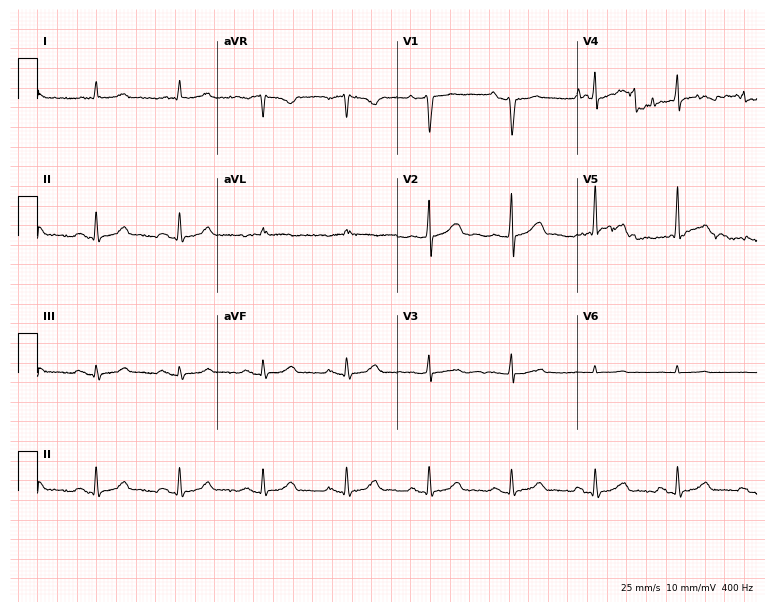
Resting 12-lead electrocardiogram (7.3-second recording at 400 Hz). Patient: a male, 62 years old. Read as a normal ECG.